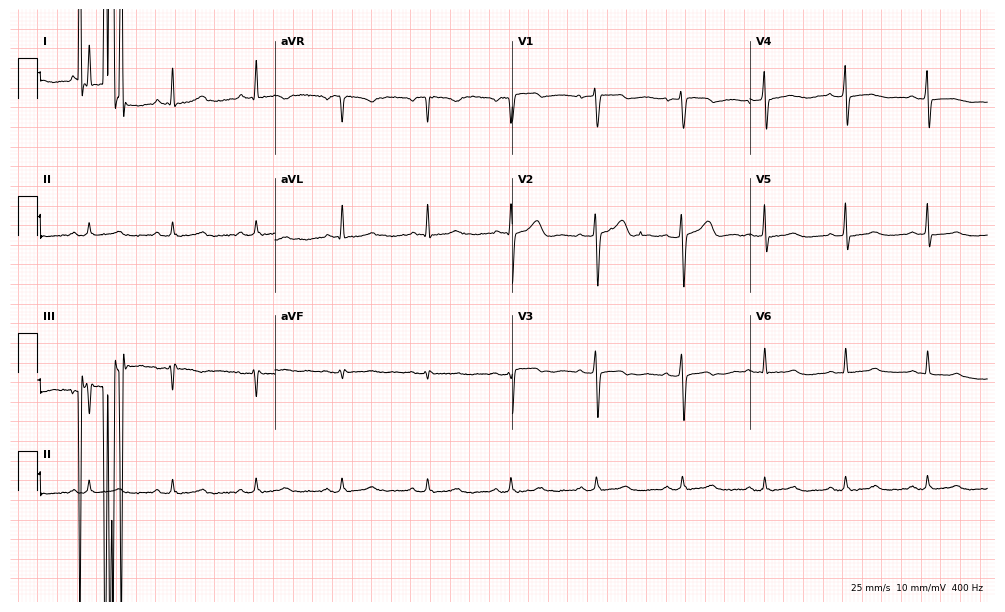
Resting 12-lead electrocardiogram (9.7-second recording at 400 Hz). Patient: a 49-year-old woman. None of these six findings is recorded: first-degree AV block, right bundle branch block, left bundle branch block, sinus bradycardia, atrial fibrillation, sinus tachycardia.